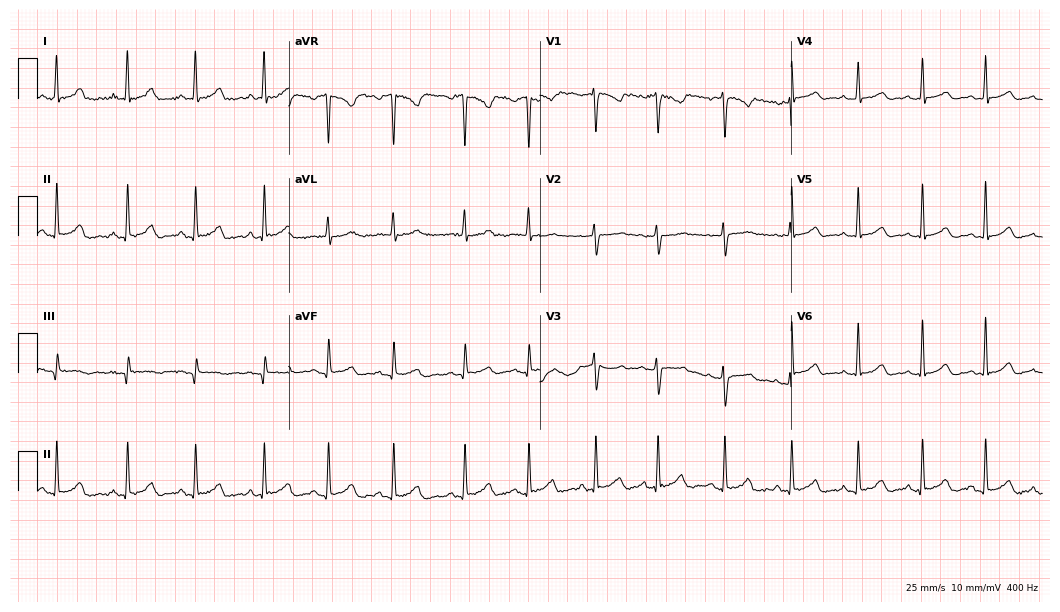
Resting 12-lead electrocardiogram. Patient: a 26-year-old female. Read as a normal ECG.